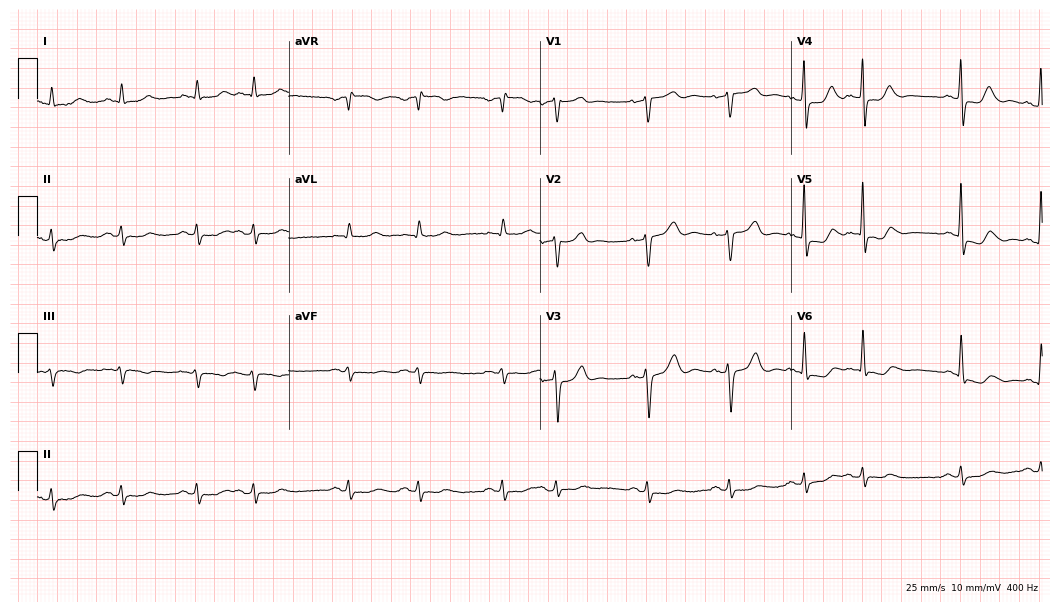
Electrocardiogram (10.2-second recording at 400 Hz), a 71-year-old male. Of the six screened findings (first-degree AV block, right bundle branch block, left bundle branch block, sinus bradycardia, atrial fibrillation, sinus tachycardia), none is recorded. Other findings, if any, are not listed.